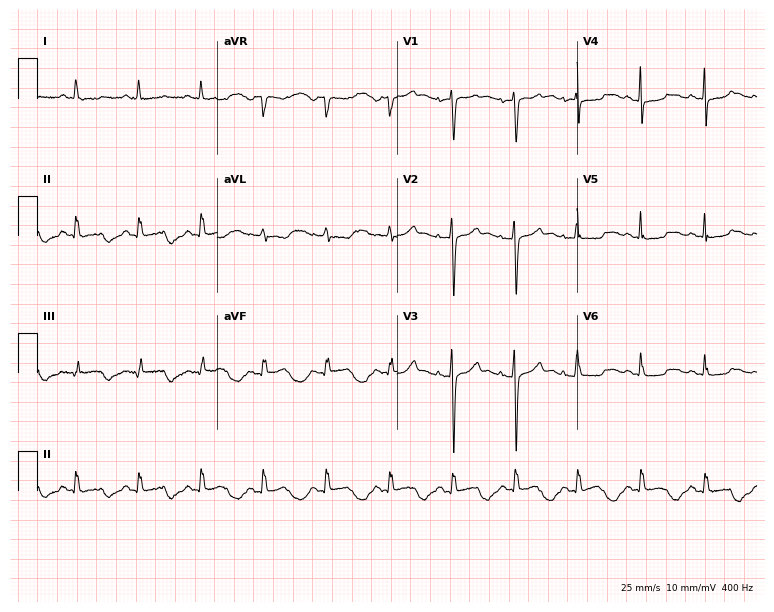
Standard 12-lead ECG recorded from a 62-year-old woman (7.3-second recording at 400 Hz). None of these six findings is recorded: first-degree AV block, right bundle branch block (RBBB), left bundle branch block (LBBB), sinus bradycardia, atrial fibrillation (AF), sinus tachycardia. Other findings, if any, are not listed.